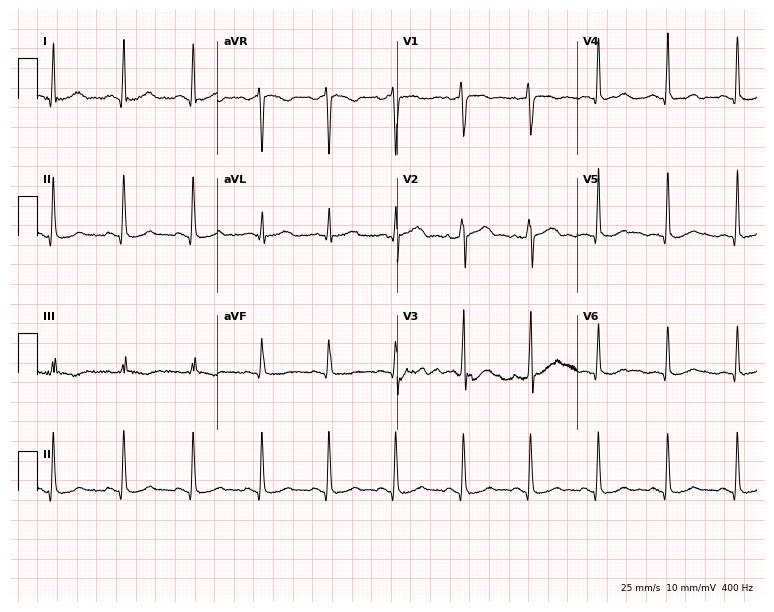
ECG (7.3-second recording at 400 Hz) — a male patient, 35 years old. Labelled as a normal ECG.